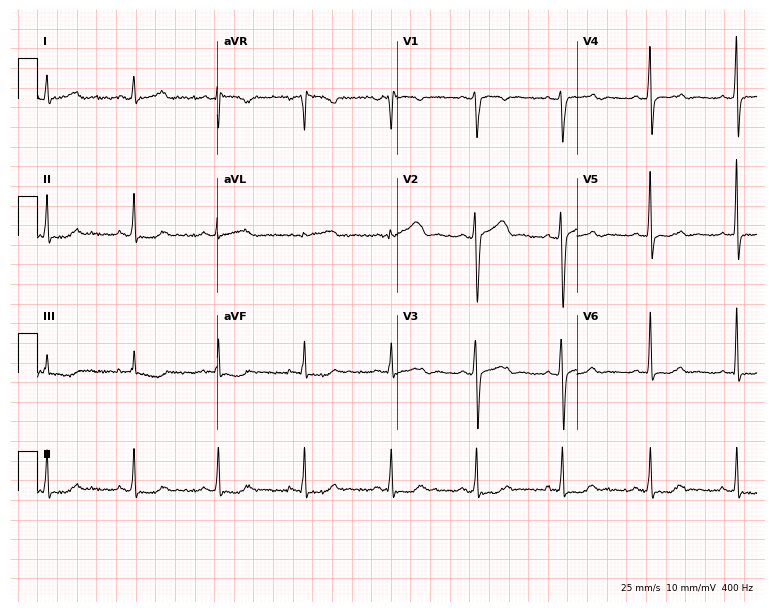
Electrocardiogram (7.3-second recording at 400 Hz), a 41-year-old female. Overall reading on record: normal ECG.